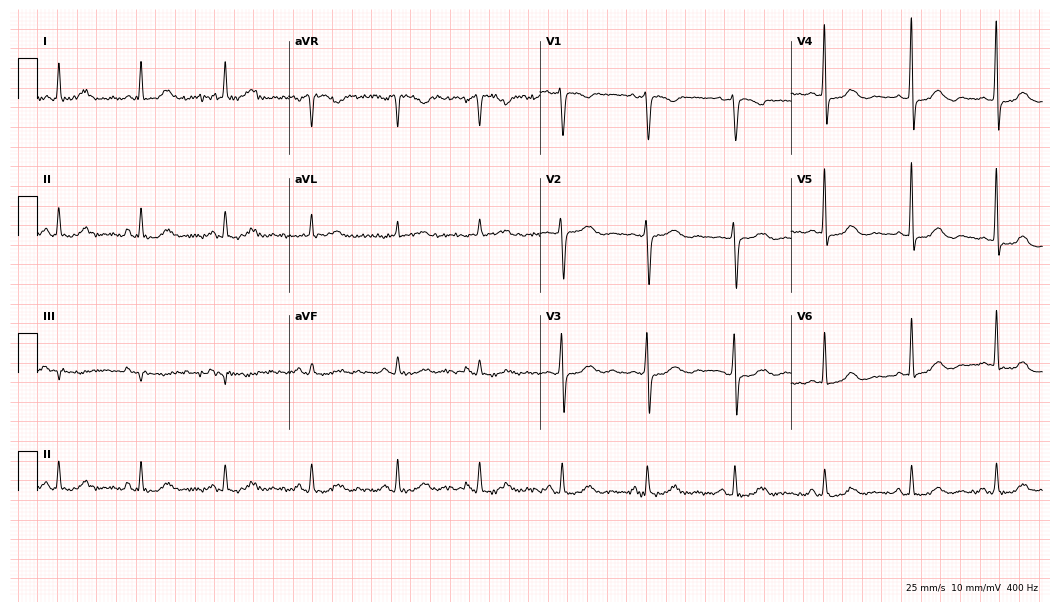
Resting 12-lead electrocardiogram (10.2-second recording at 400 Hz). Patient: a 64-year-old woman. Read as a normal ECG.